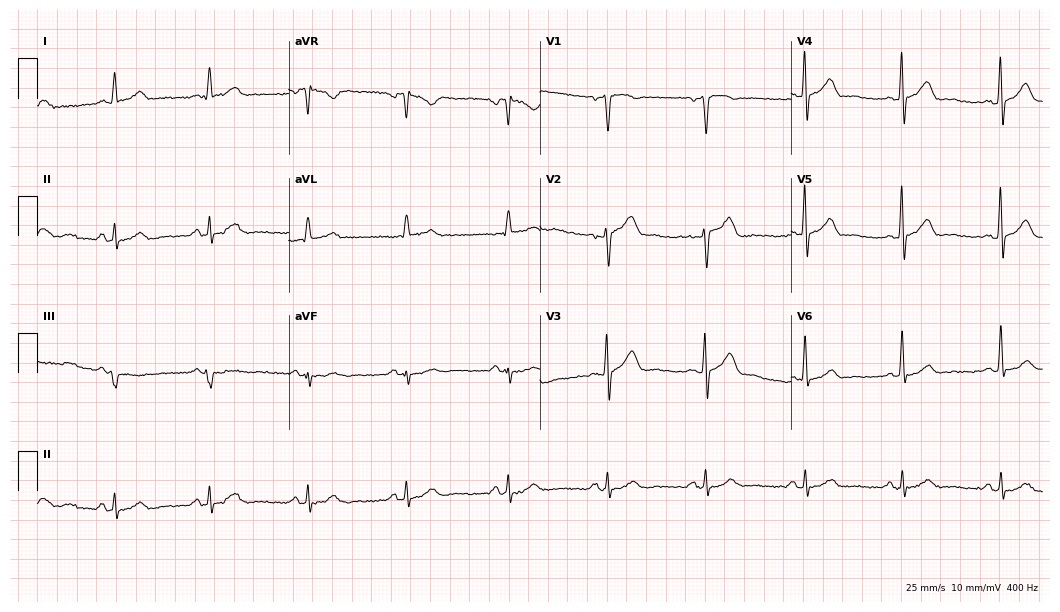
ECG — a male, 59 years old. Labelled as a normal ECG.